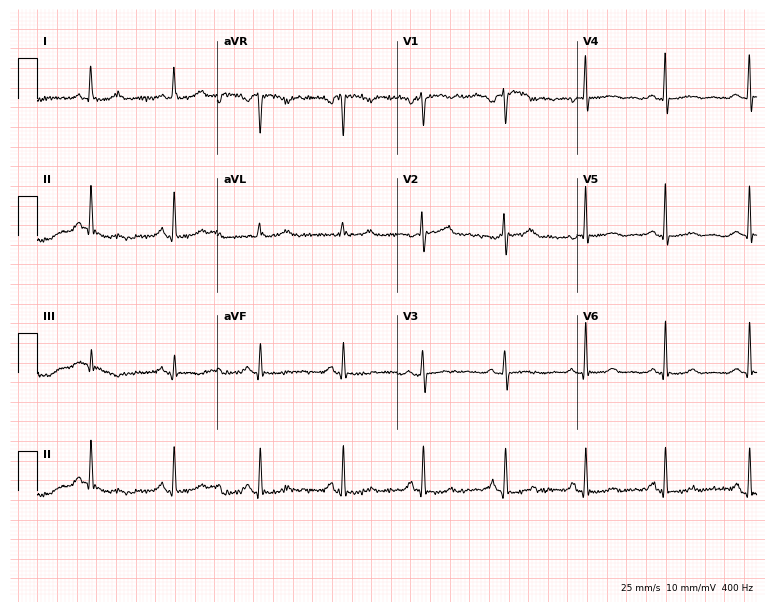
12-lead ECG from a 47-year-old female (7.3-second recording at 400 Hz). No first-degree AV block, right bundle branch block (RBBB), left bundle branch block (LBBB), sinus bradycardia, atrial fibrillation (AF) or sinus tachycardia recorded for this tracing.